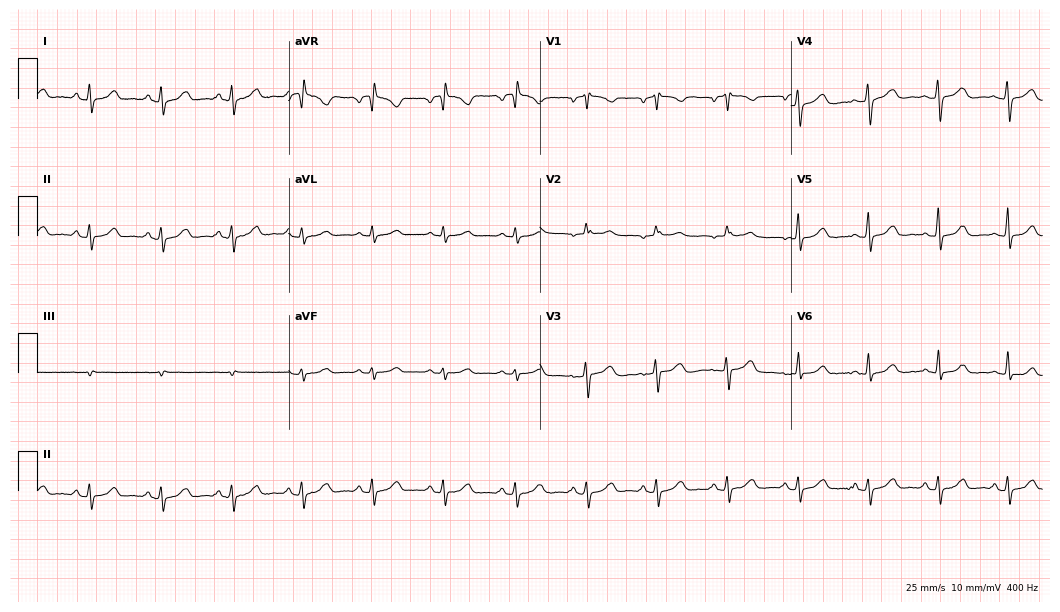
Electrocardiogram (10.2-second recording at 400 Hz), a female, 67 years old. Overall reading on record: normal ECG.